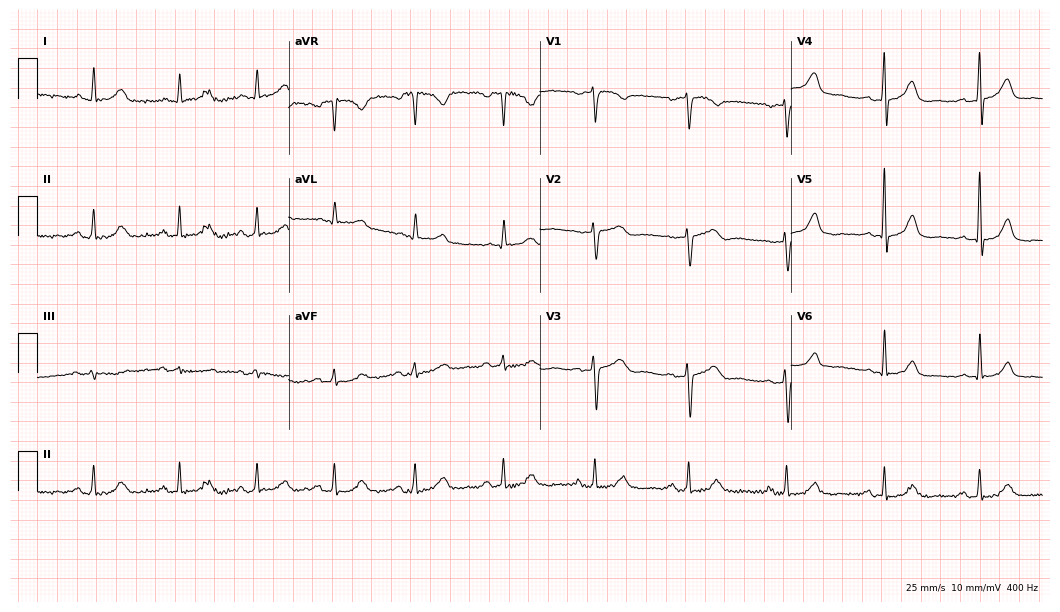
ECG (10.2-second recording at 400 Hz) — a female patient, 62 years old. Labelled as a normal ECG.